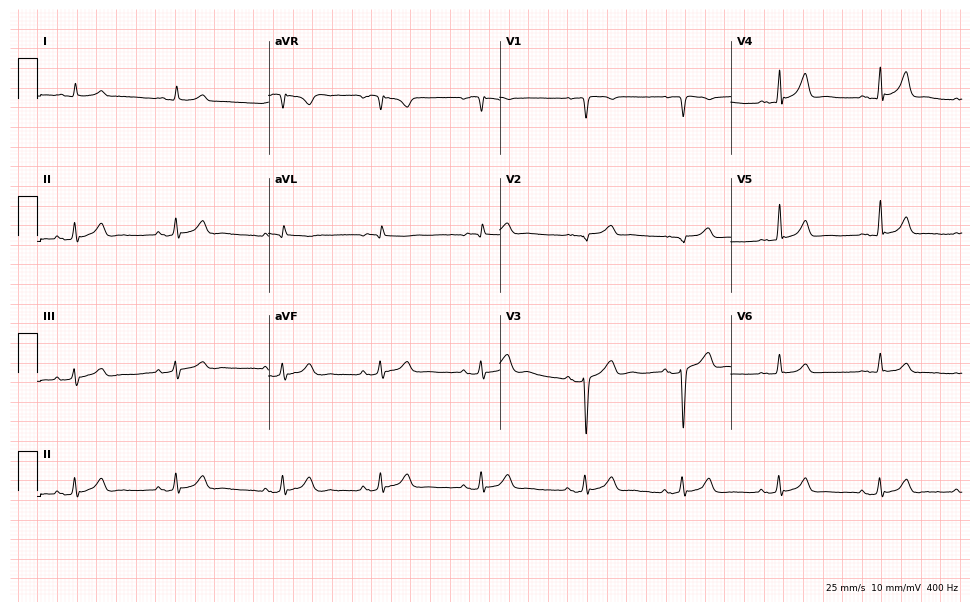
12-lead ECG from a man, 75 years old (9.4-second recording at 400 Hz). Recorded interpretation: within normal limits.